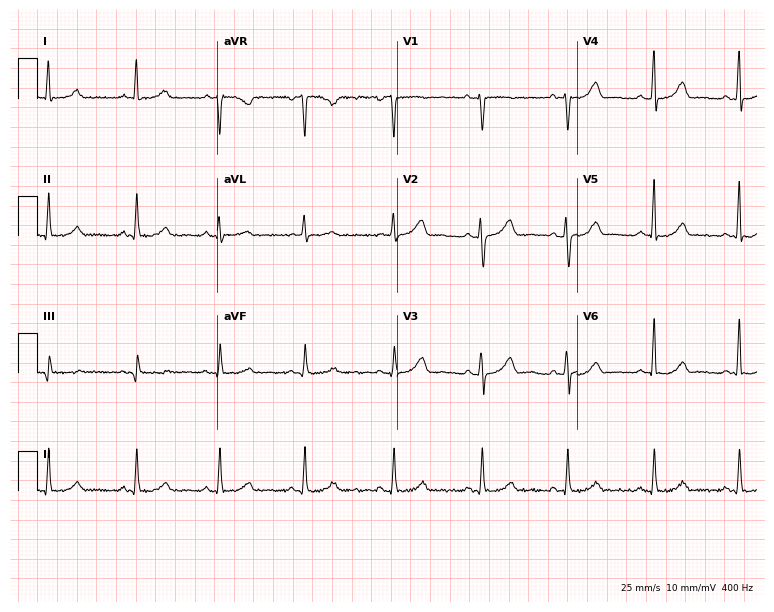
Resting 12-lead electrocardiogram (7.3-second recording at 400 Hz). Patient: a woman, 41 years old. Read as a normal ECG.